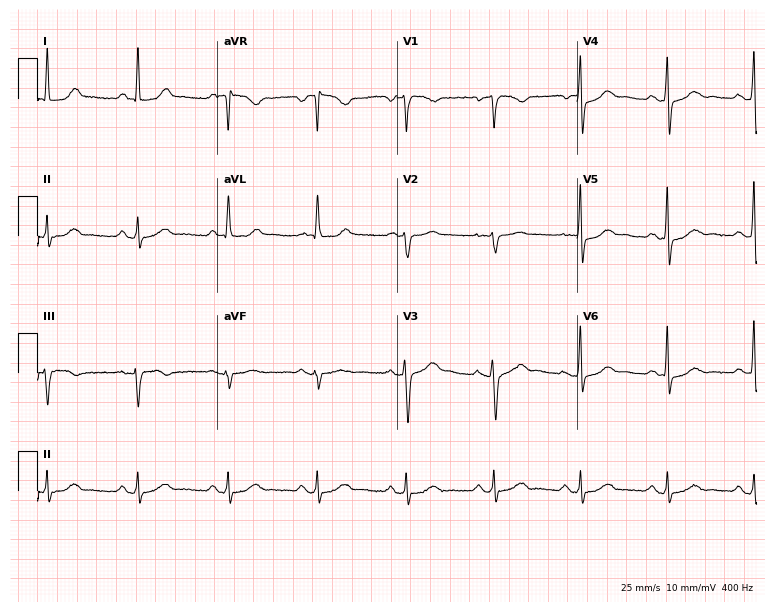
Standard 12-lead ECG recorded from a male, 69 years old (7.3-second recording at 400 Hz). Read as a normal ECG.